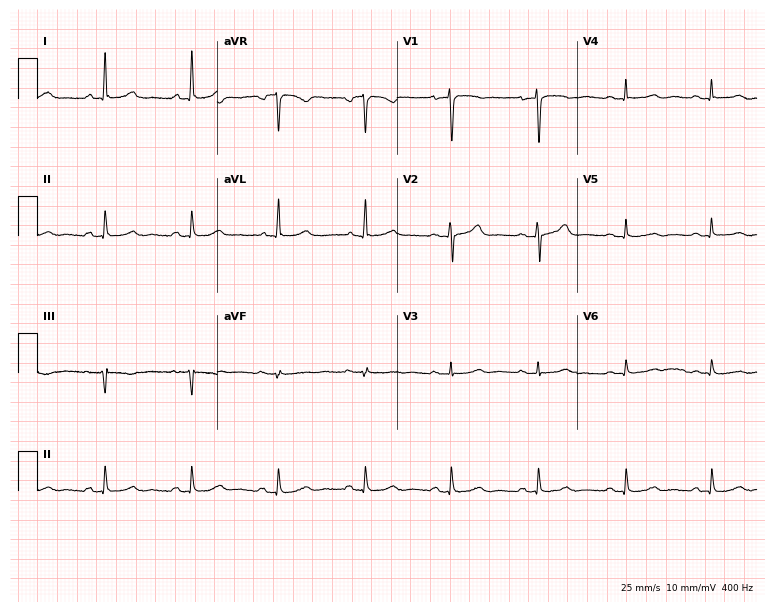
Resting 12-lead electrocardiogram (7.3-second recording at 400 Hz). Patient: a 70-year-old woman. None of these six findings is recorded: first-degree AV block, right bundle branch block (RBBB), left bundle branch block (LBBB), sinus bradycardia, atrial fibrillation (AF), sinus tachycardia. Other findings, if any, are not listed.